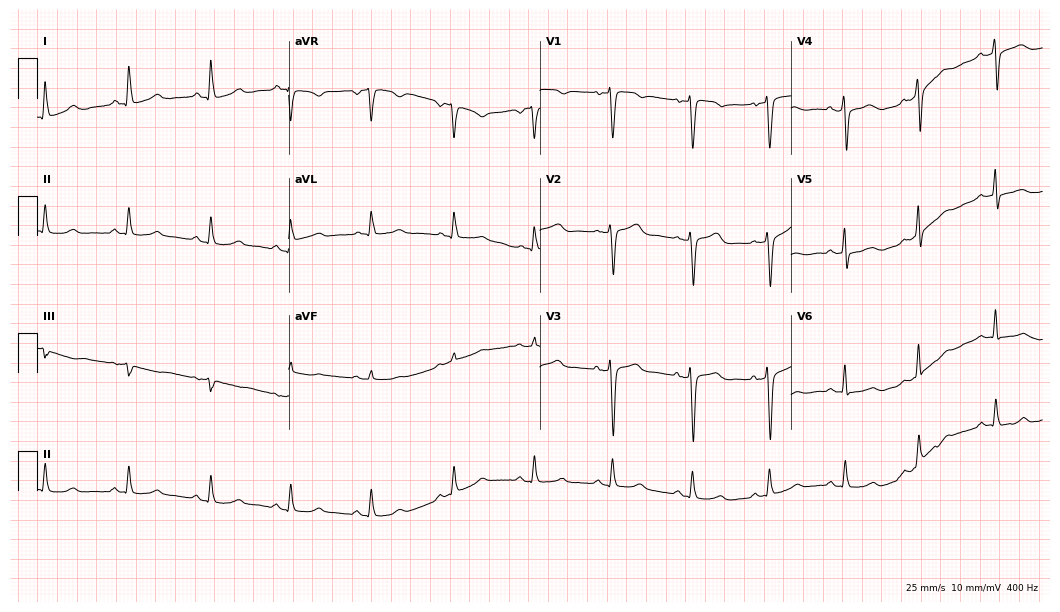
Electrocardiogram (10.2-second recording at 400 Hz), a 48-year-old female. Overall reading on record: normal ECG.